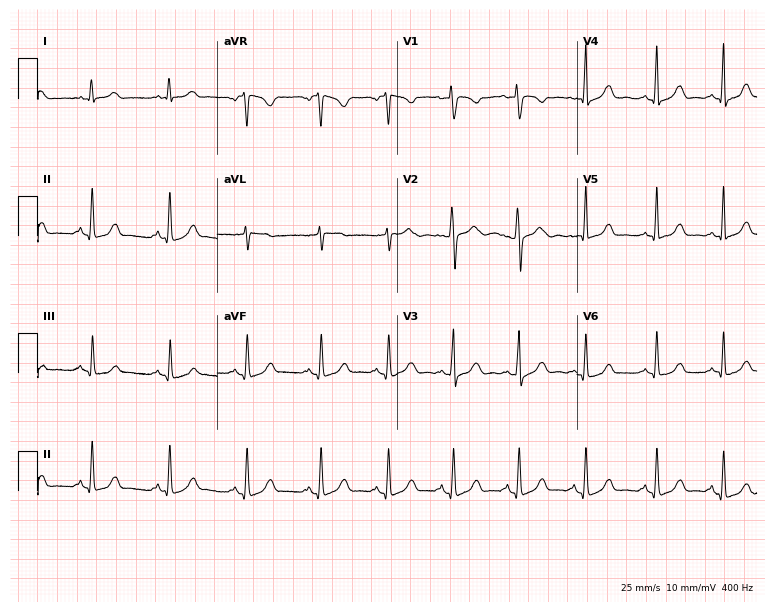
Resting 12-lead electrocardiogram (7.3-second recording at 400 Hz). Patient: a 38-year-old woman. Read as a normal ECG.